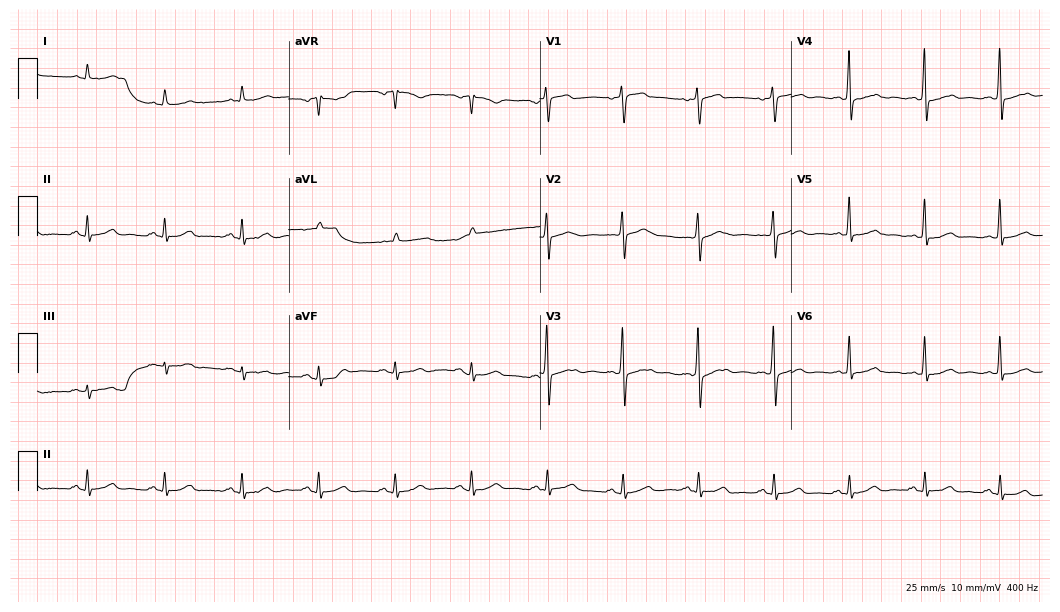
Resting 12-lead electrocardiogram. Patient: a 59-year-old male. Read as a normal ECG.